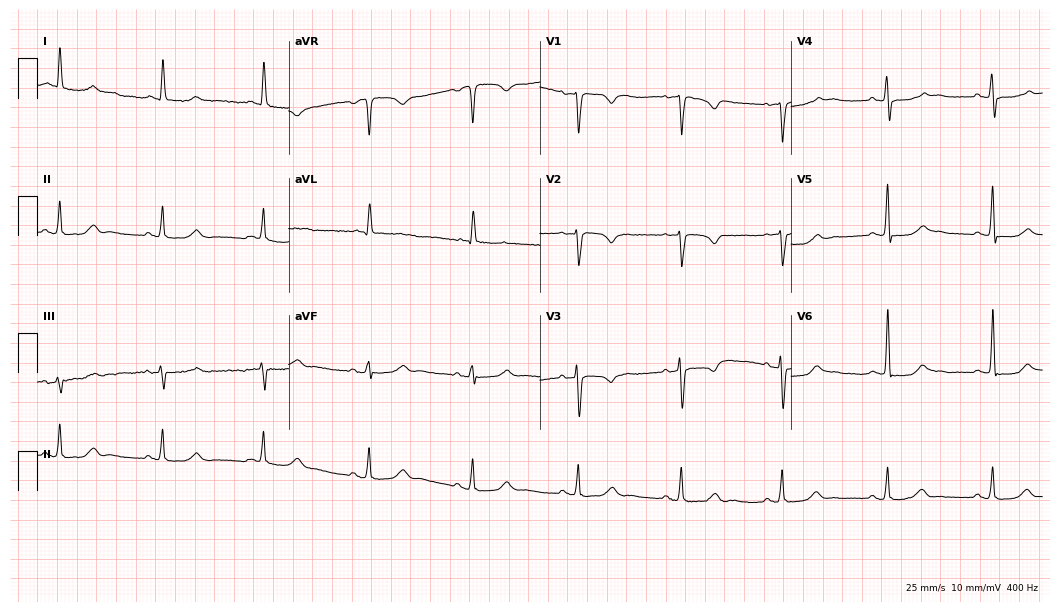
Resting 12-lead electrocardiogram (10.2-second recording at 400 Hz). Patient: a female, 67 years old. None of these six findings is recorded: first-degree AV block, right bundle branch block, left bundle branch block, sinus bradycardia, atrial fibrillation, sinus tachycardia. Findings outside these six are not listed.